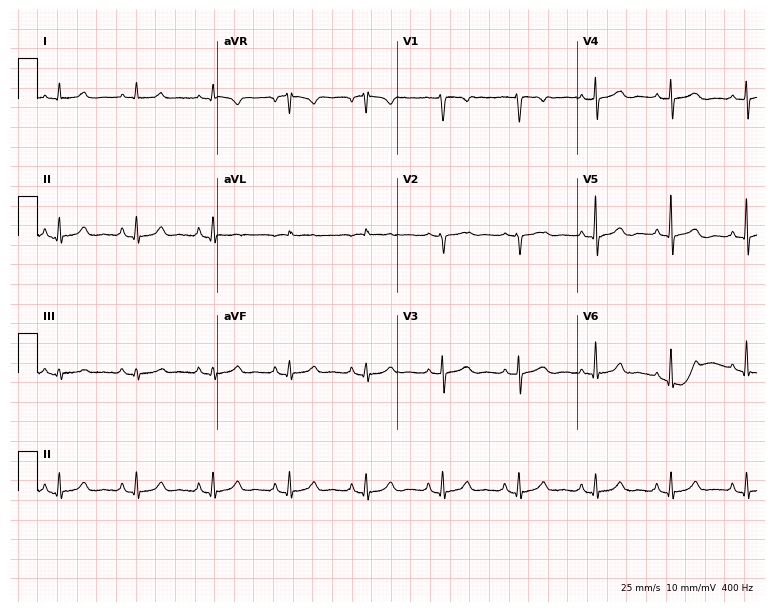
12-lead ECG from a 66-year-old female patient (7.3-second recording at 400 Hz). No first-degree AV block, right bundle branch block (RBBB), left bundle branch block (LBBB), sinus bradycardia, atrial fibrillation (AF) or sinus tachycardia recorded for this tracing. Findings outside these six are not listed.